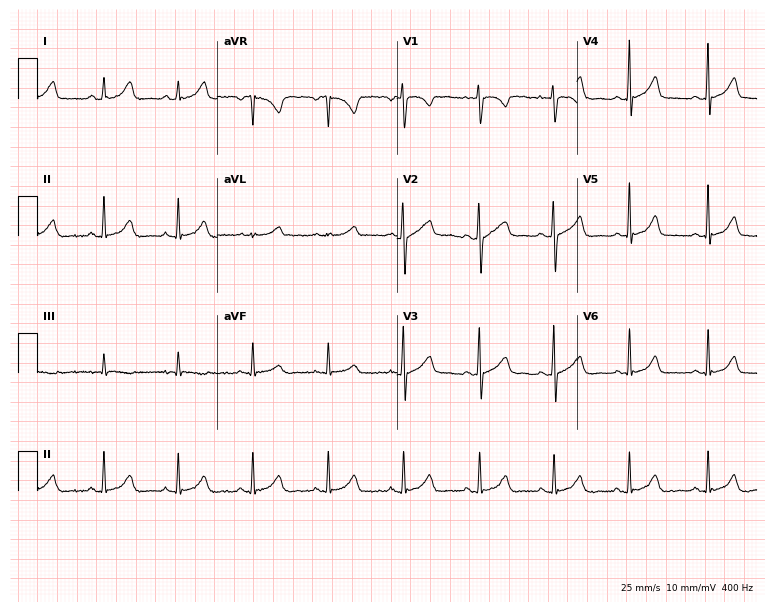
Standard 12-lead ECG recorded from a 25-year-old woman. None of these six findings is recorded: first-degree AV block, right bundle branch block, left bundle branch block, sinus bradycardia, atrial fibrillation, sinus tachycardia. Findings outside these six are not listed.